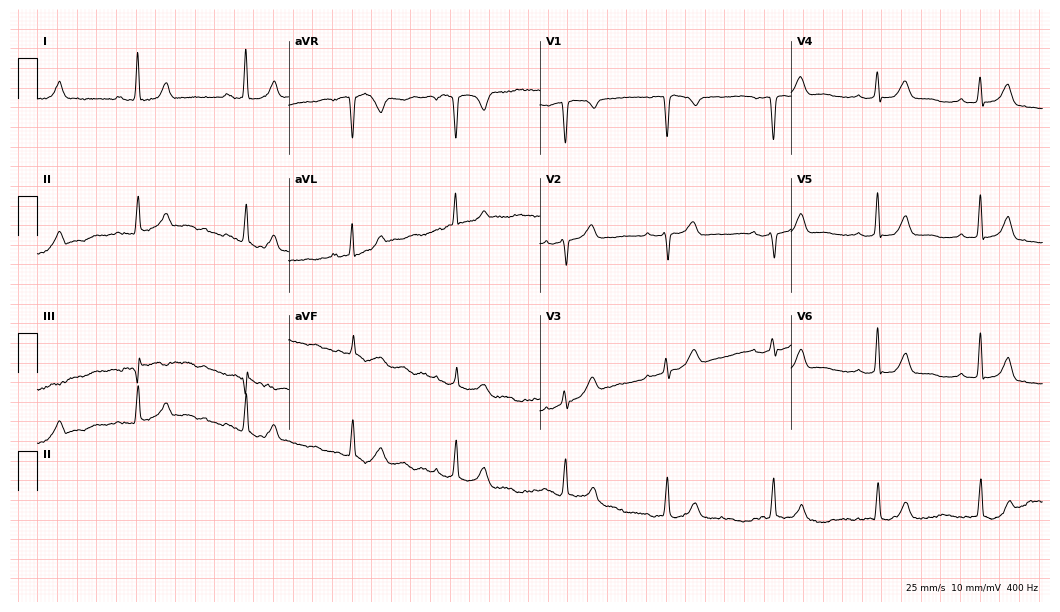
Standard 12-lead ECG recorded from a 70-year-old woman (10.2-second recording at 400 Hz). Read as a normal ECG.